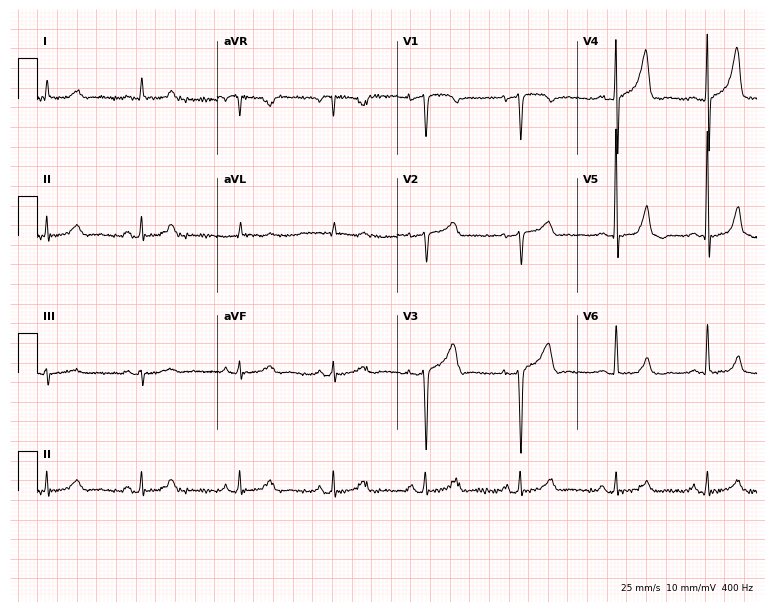
12-lead ECG from a female, 40 years old (7.3-second recording at 400 Hz). Recorded interpretation: within normal limits.